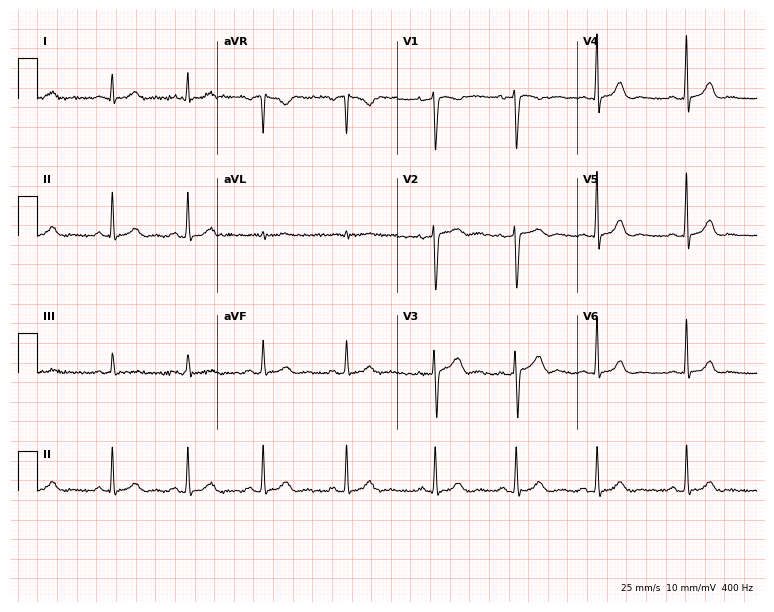
ECG (7.3-second recording at 400 Hz) — a female patient, 25 years old. Labelled as a normal ECG.